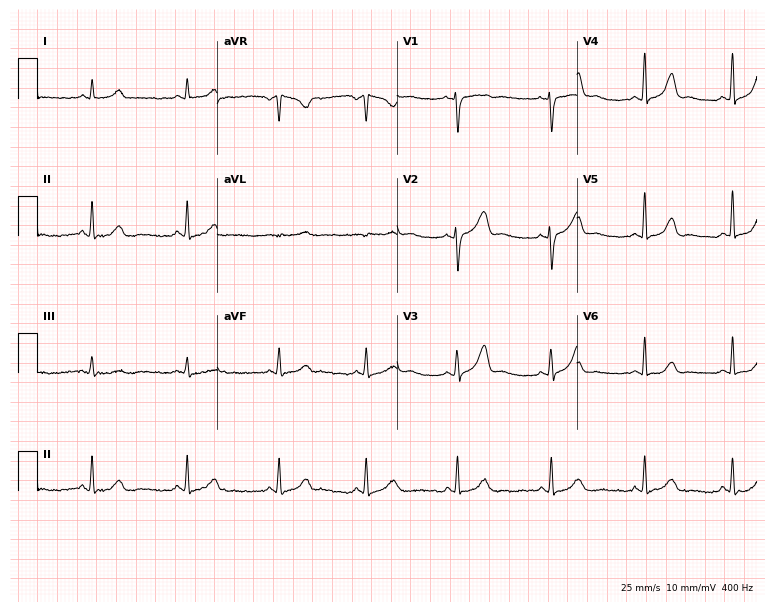
Standard 12-lead ECG recorded from a female, 28 years old (7.3-second recording at 400 Hz). None of these six findings is recorded: first-degree AV block, right bundle branch block (RBBB), left bundle branch block (LBBB), sinus bradycardia, atrial fibrillation (AF), sinus tachycardia.